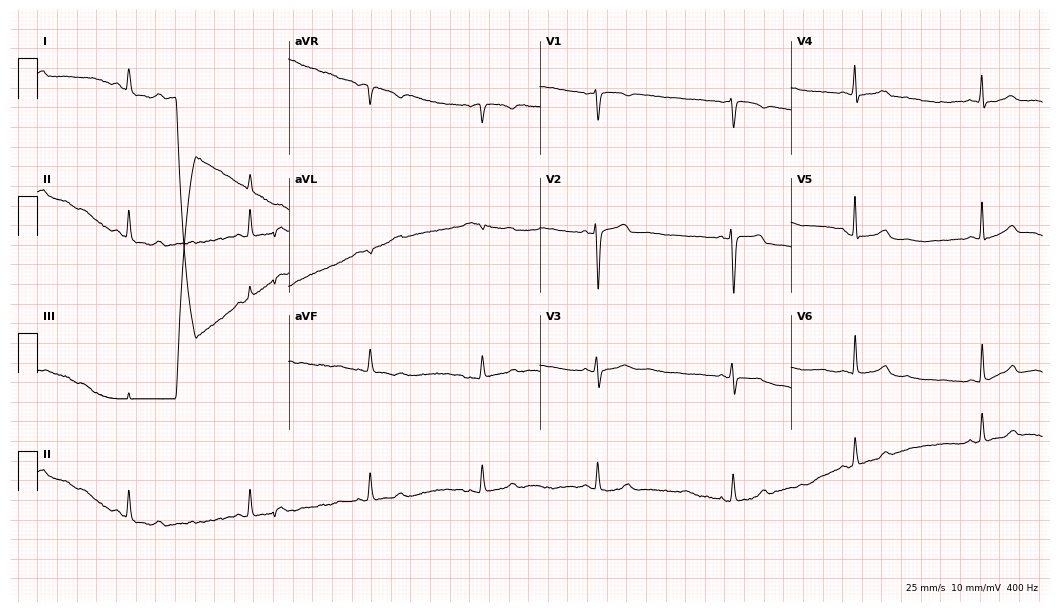
Resting 12-lead electrocardiogram (10.2-second recording at 400 Hz). Patient: a female, 44 years old. None of these six findings is recorded: first-degree AV block, right bundle branch block (RBBB), left bundle branch block (LBBB), sinus bradycardia, atrial fibrillation (AF), sinus tachycardia.